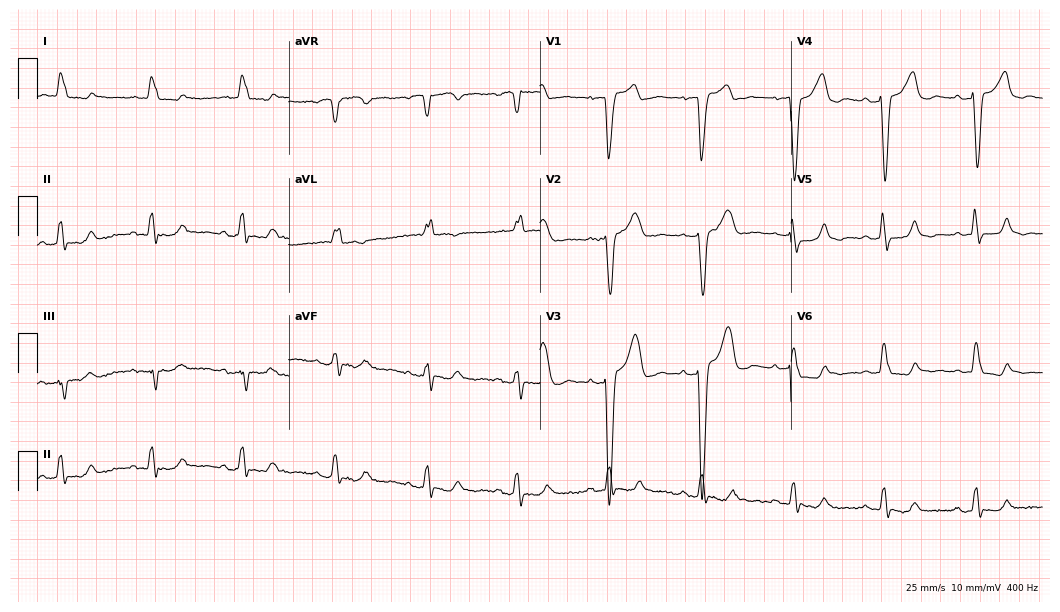
Resting 12-lead electrocardiogram (10.2-second recording at 400 Hz). Patient: a female, 82 years old. None of these six findings is recorded: first-degree AV block, right bundle branch block, left bundle branch block, sinus bradycardia, atrial fibrillation, sinus tachycardia. Other findings, if any, are not listed.